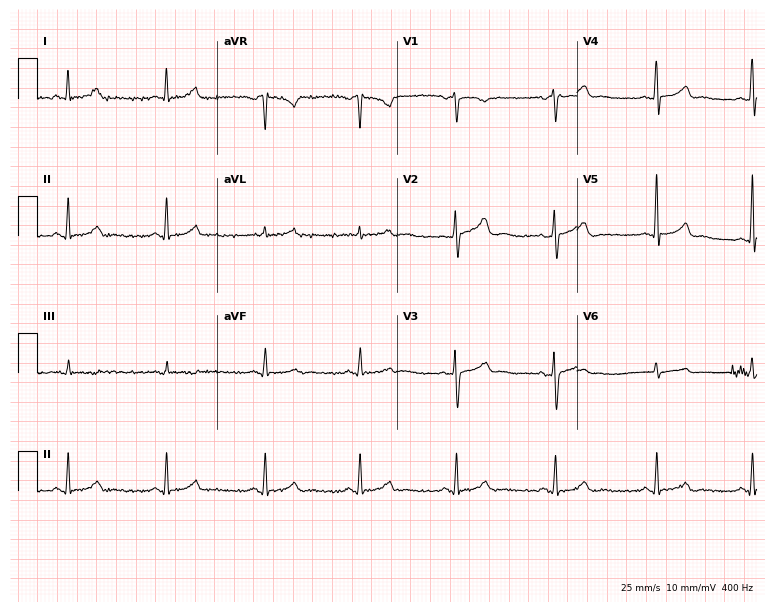
Electrocardiogram, a female patient, 45 years old. Overall reading on record: normal ECG.